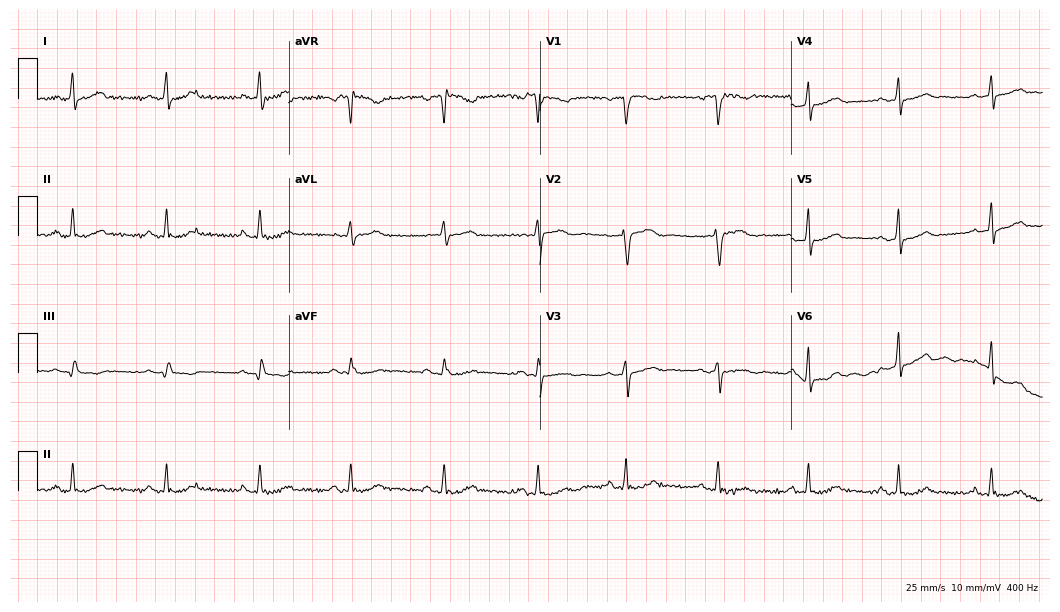
12-lead ECG (10.2-second recording at 400 Hz) from a 43-year-old female patient. Labelled as a normal ECG.